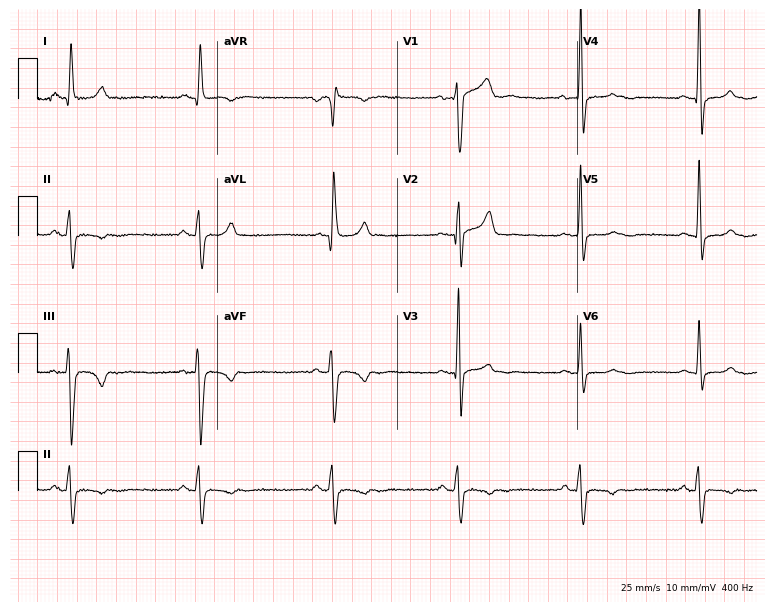
Resting 12-lead electrocardiogram (7.3-second recording at 400 Hz). Patient: a man, 50 years old. None of these six findings is recorded: first-degree AV block, right bundle branch block, left bundle branch block, sinus bradycardia, atrial fibrillation, sinus tachycardia.